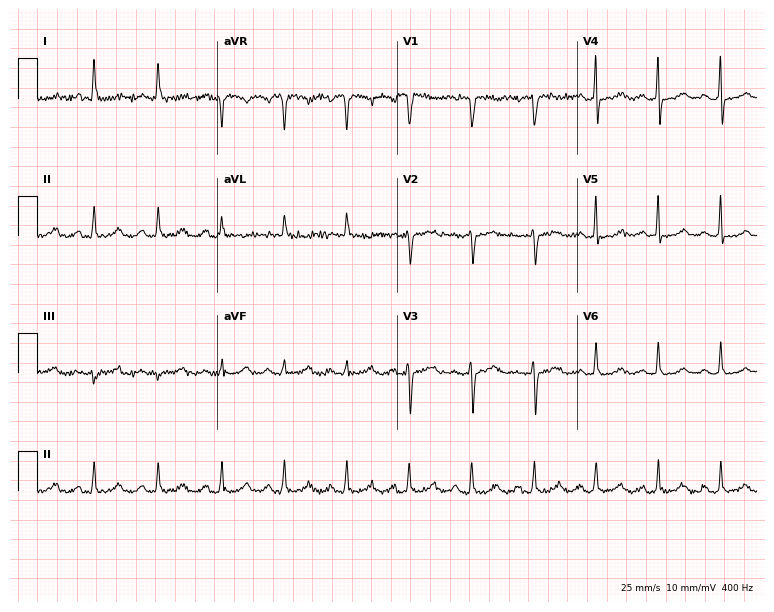
12-lead ECG from a 64-year-old woman. Screened for six findings — first-degree AV block, right bundle branch block, left bundle branch block, sinus bradycardia, atrial fibrillation, sinus tachycardia — none is recorded. Only these six findings were labelled.